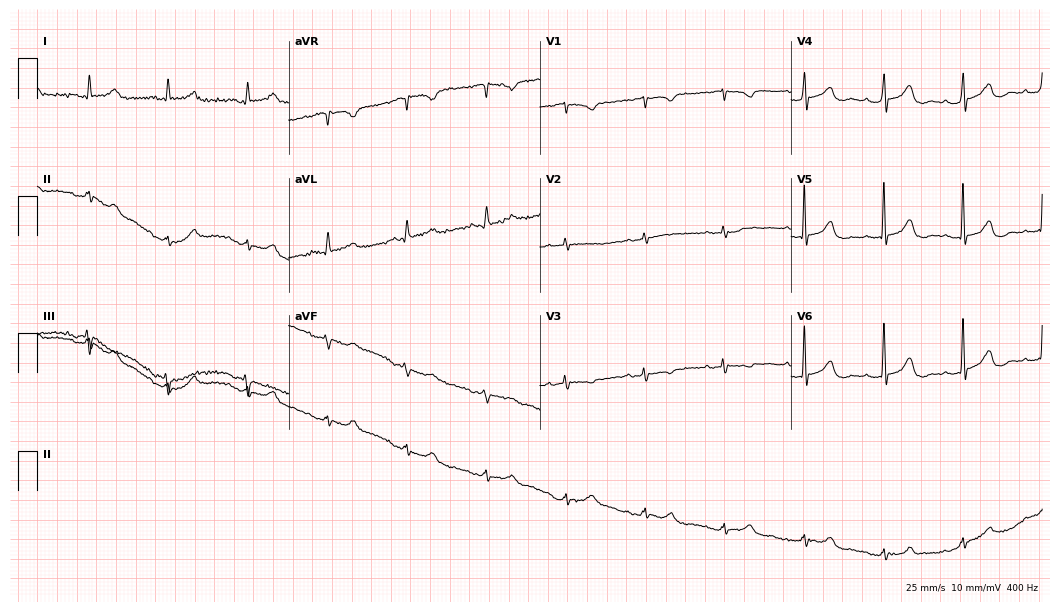
ECG (10.2-second recording at 400 Hz) — an 82-year-old female patient. Labelled as a normal ECG.